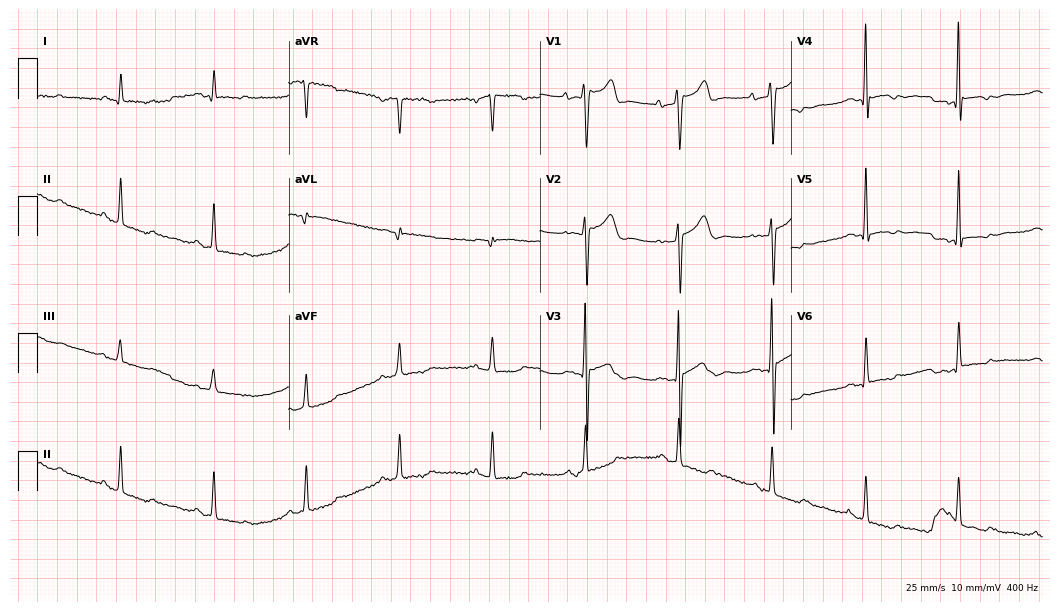
Standard 12-lead ECG recorded from a 74-year-old male patient. None of these six findings is recorded: first-degree AV block, right bundle branch block, left bundle branch block, sinus bradycardia, atrial fibrillation, sinus tachycardia. Findings outside these six are not listed.